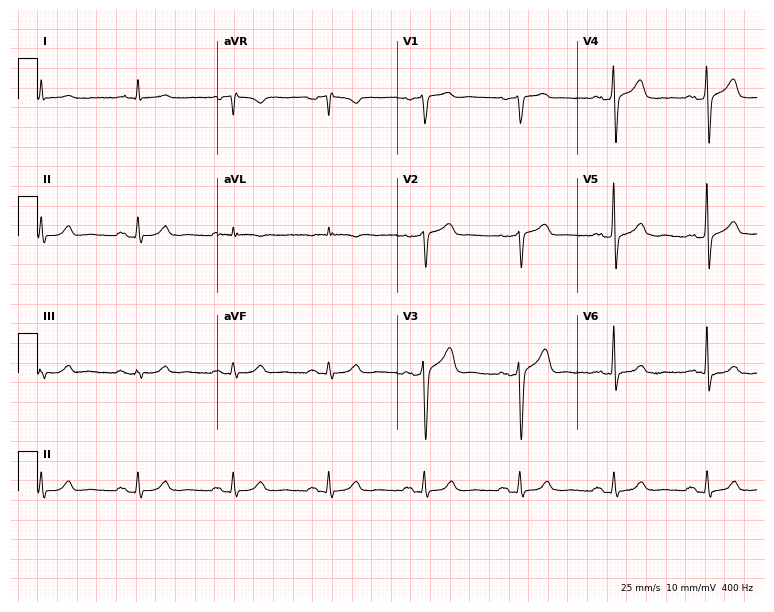
12-lead ECG from an 81-year-old male patient. Screened for six findings — first-degree AV block, right bundle branch block, left bundle branch block, sinus bradycardia, atrial fibrillation, sinus tachycardia — none is recorded.